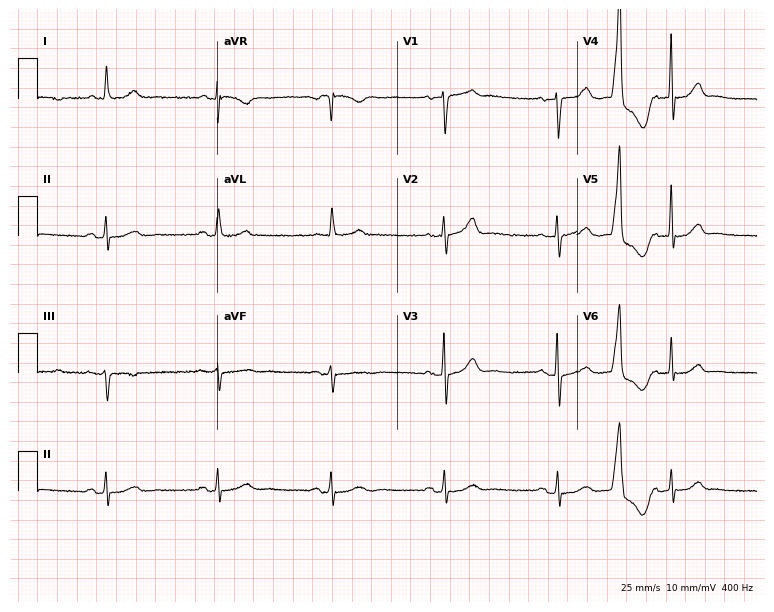
Standard 12-lead ECG recorded from a woman, 68 years old. Read as a normal ECG.